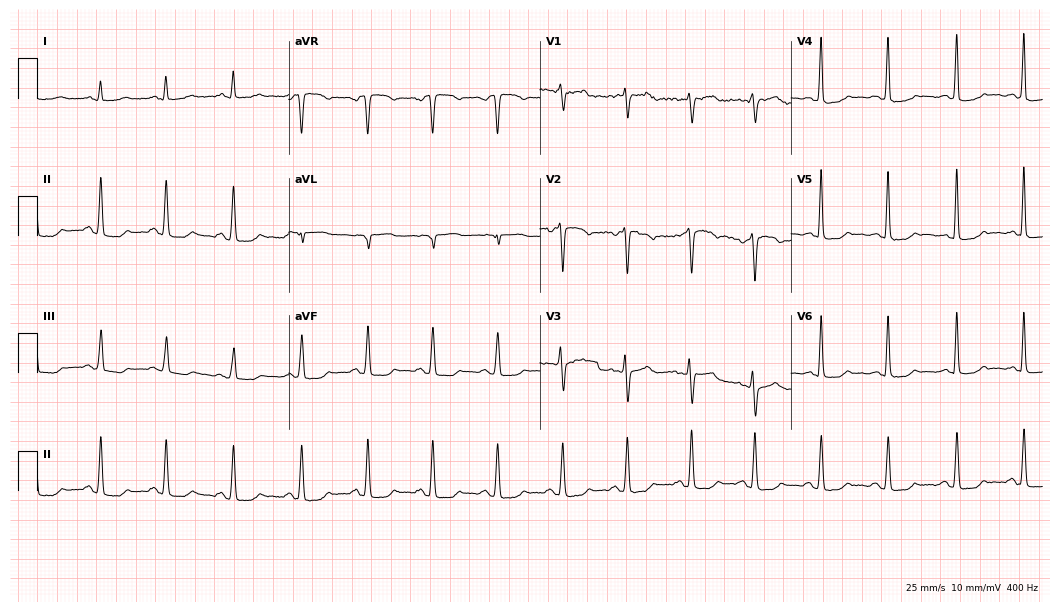
ECG (10.2-second recording at 400 Hz) — a 66-year-old female patient. Labelled as a normal ECG.